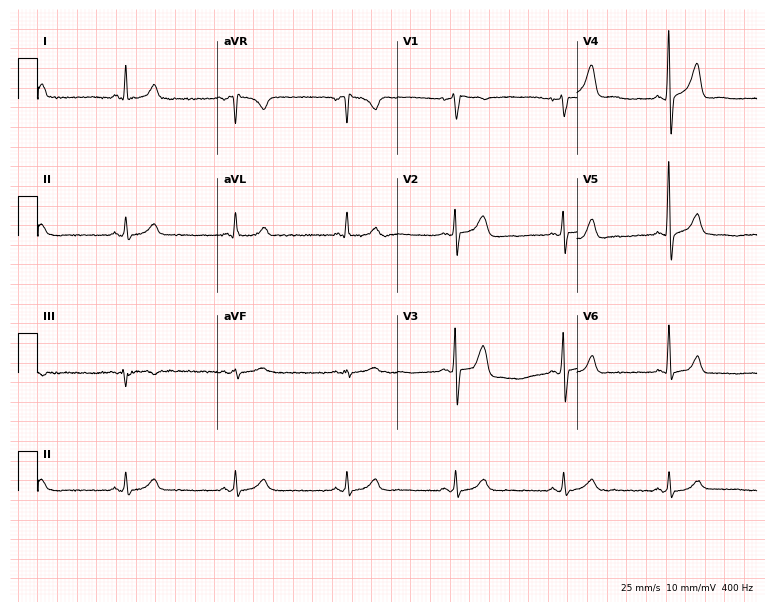
ECG — a male patient, 40 years old. Screened for six findings — first-degree AV block, right bundle branch block, left bundle branch block, sinus bradycardia, atrial fibrillation, sinus tachycardia — none is recorded. Other findings, if any, are not listed.